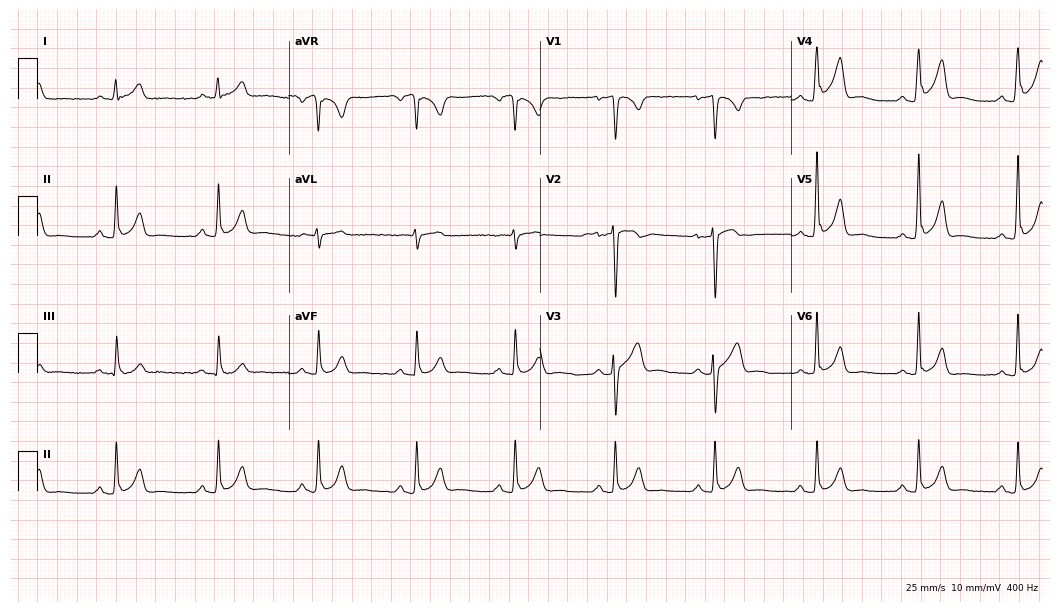
12-lead ECG from a man, 36 years old. No first-degree AV block, right bundle branch block, left bundle branch block, sinus bradycardia, atrial fibrillation or sinus tachycardia recorded for this tracing.